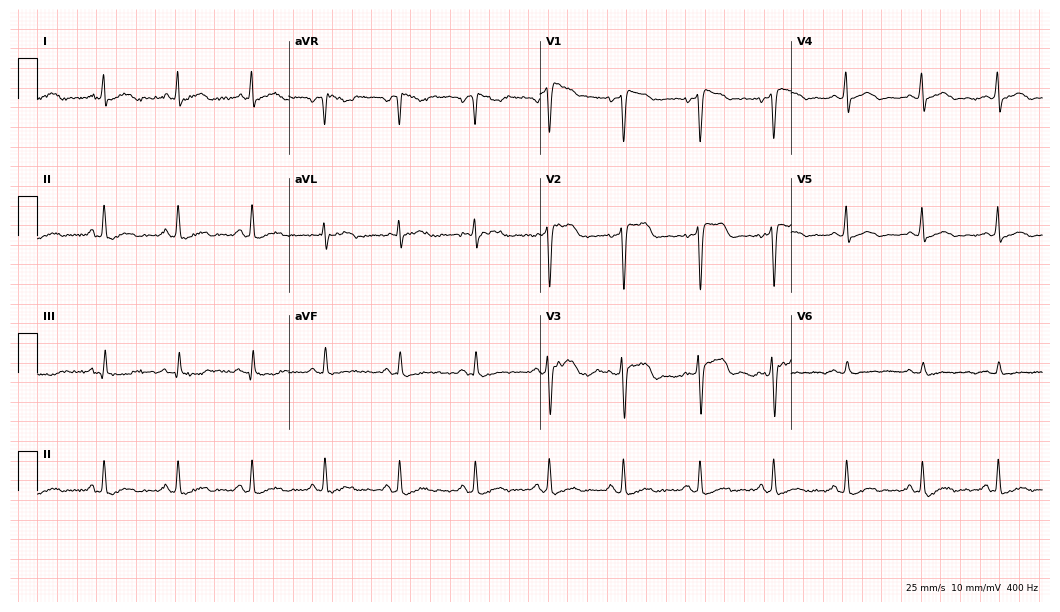
Electrocardiogram, a man, 26 years old. Of the six screened findings (first-degree AV block, right bundle branch block, left bundle branch block, sinus bradycardia, atrial fibrillation, sinus tachycardia), none is recorded. Findings outside these six are not listed.